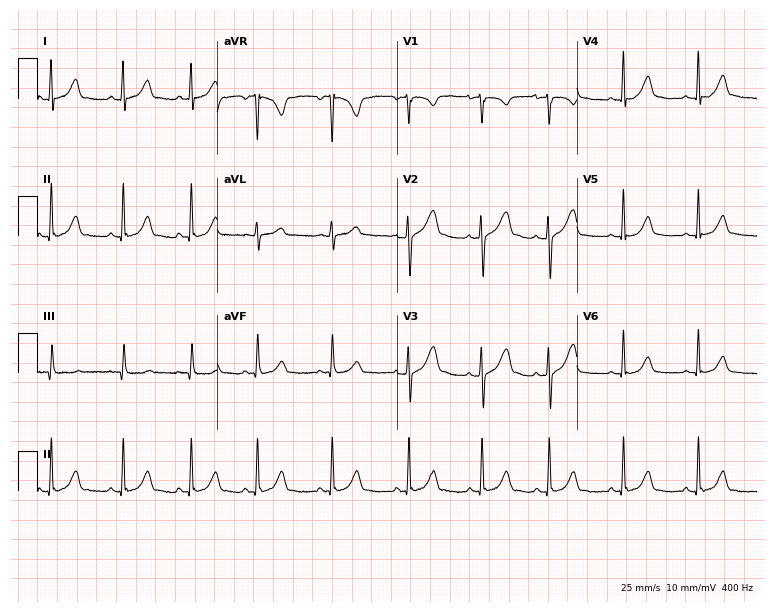
ECG (7.3-second recording at 400 Hz) — a 23-year-old female patient. Screened for six findings — first-degree AV block, right bundle branch block (RBBB), left bundle branch block (LBBB), sinus bradycardia, atrial fibrillation (AF), sinus tachycardia — none is recorded.